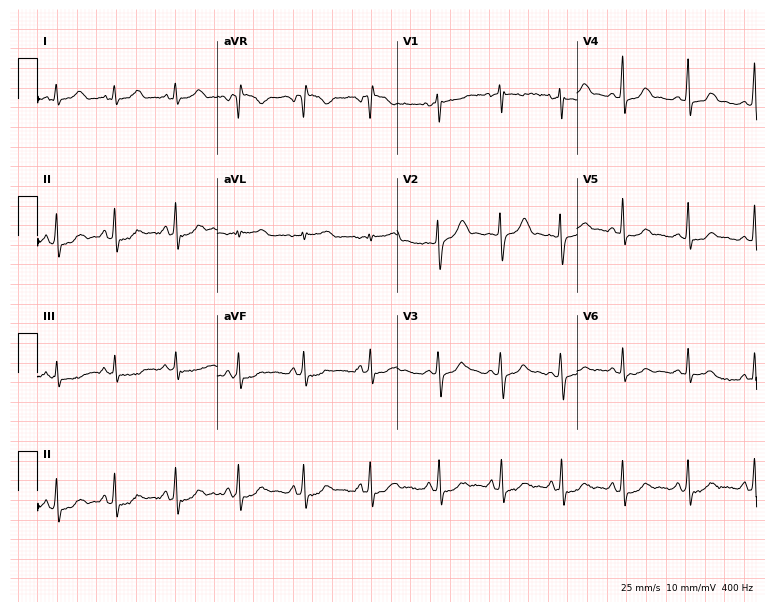
ECG — a woman, 23 years old. Screened for six findings — first-degree AV block, right bundle branch block (RBBB), left bundle branch block (LBBB), sinus bradycardia, atrial fibrillation (AF), sinus tachycardia — none is recorded. Findings outside these six are not listed.